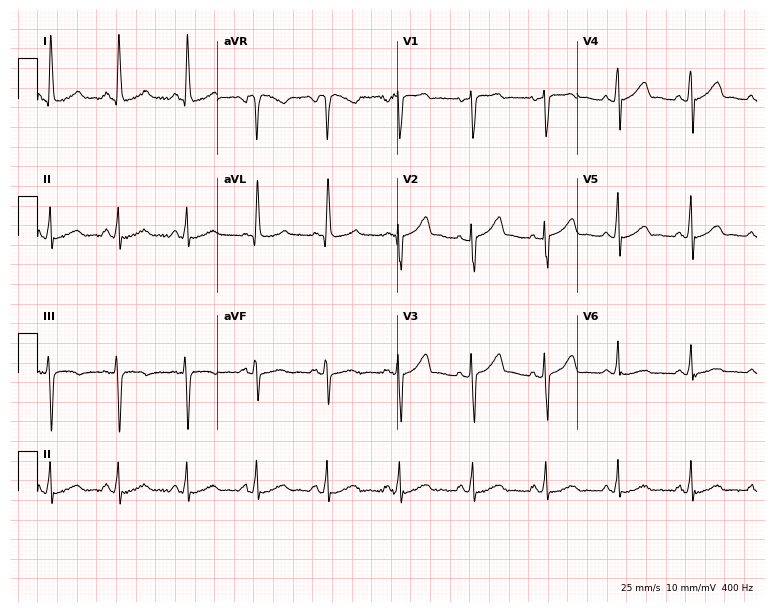
12-lead ECG from a 51-year-old woman (7.3-second recording at 400 Hz). No first-degree AV block, right bundle branch block, left bundle branch block, sinus bradycardia, atrial fibrillation or sinus tachycardia recorded for this tracing. Findings outside these six are not listed.